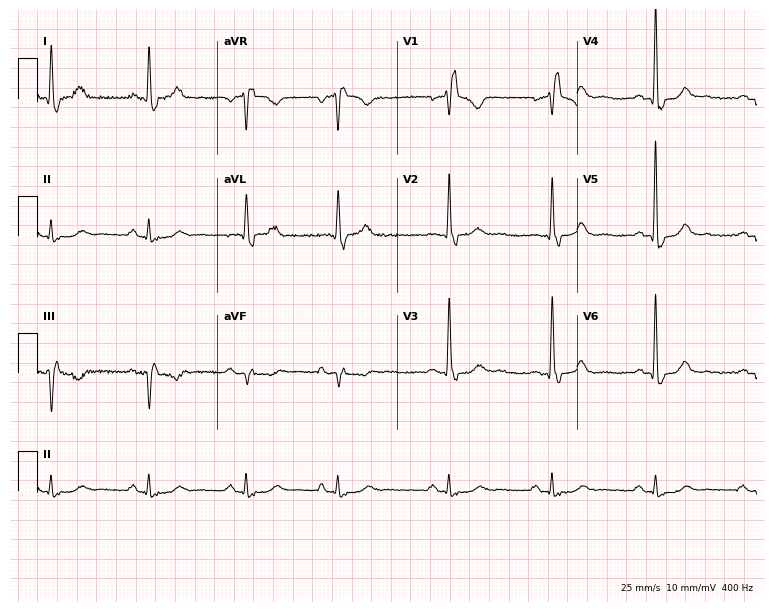
12-lead ECG from a 79-year-old male patient. Findings include right bundle branch block.